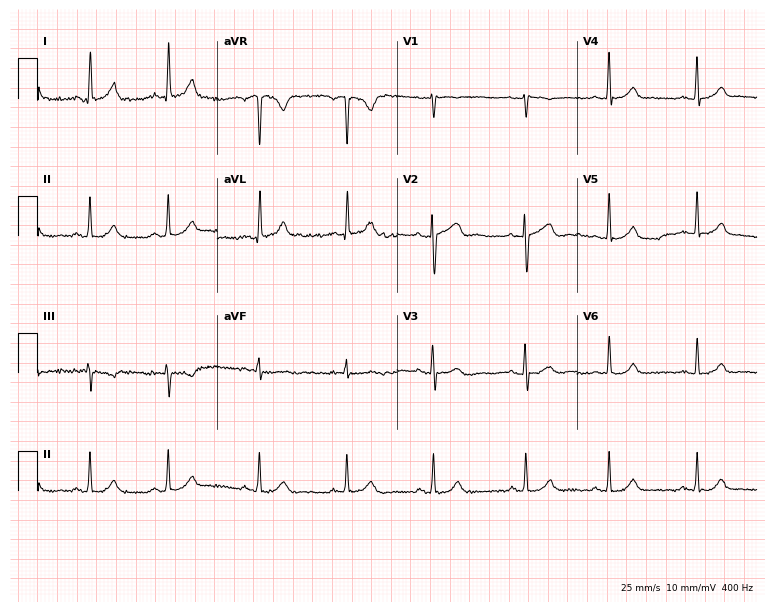
12-lead ECG from a 33-year-old female patient. Recorded interpretation: within normal limits.